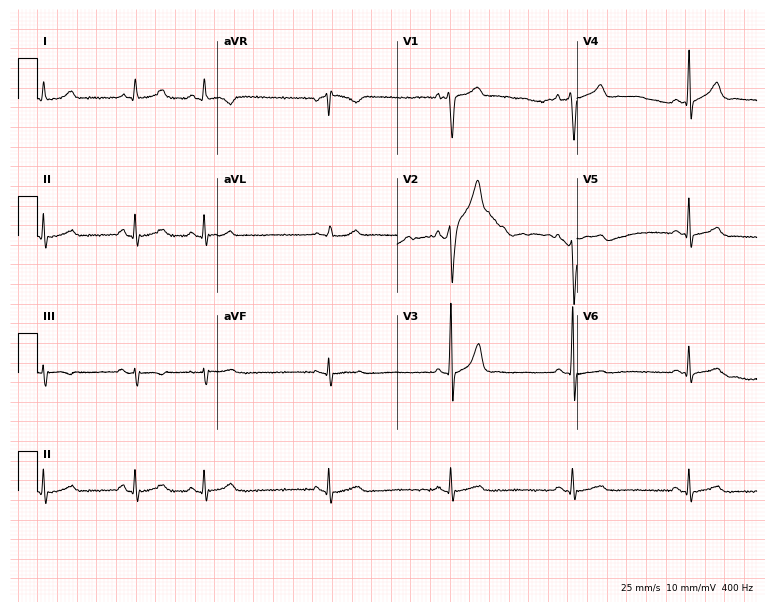
12-lead ECG from a male patient, 51 years old. Recorded interpretation: within normal limits.